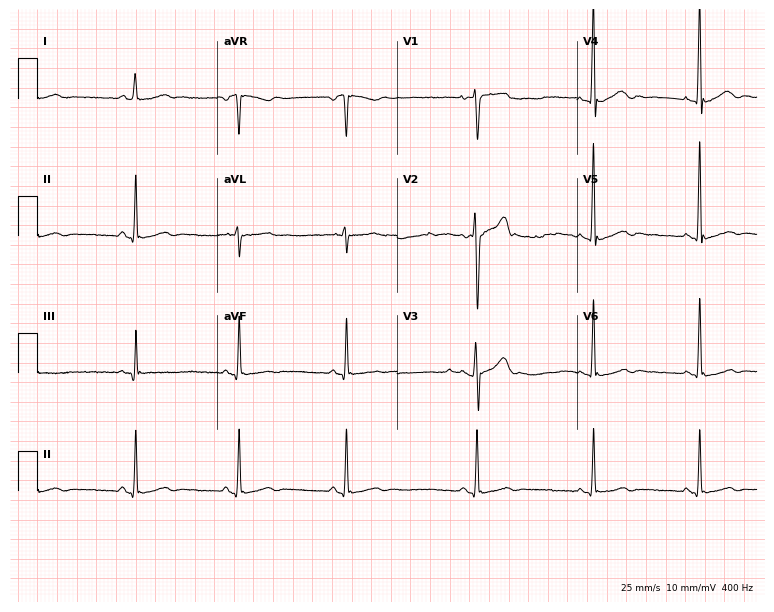
Electrocardiogram (7.3-second recording at 400 Hz), a 24-year-old male. Of the six screened findings (first-degree AV block, right bundle branch block, left bundle branch block, sinus bradycardia, atrial fibrillation, sinus tachycardia), none is recorded.